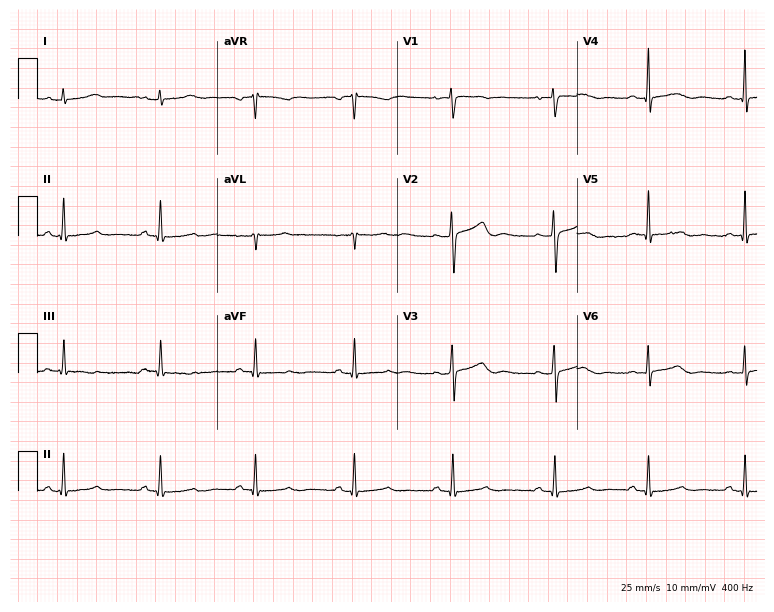
Standard 12-lead ECG recorded from a 48-year-old female. Read as a normal ECG.